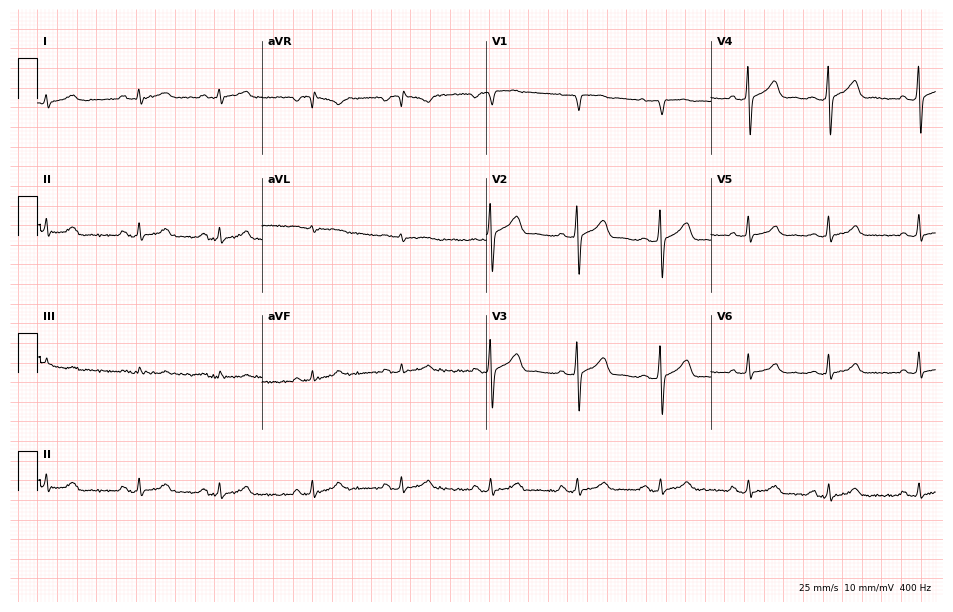
12-lead ECG from a male patient, 37 years old. Labelled as a normal ECG.